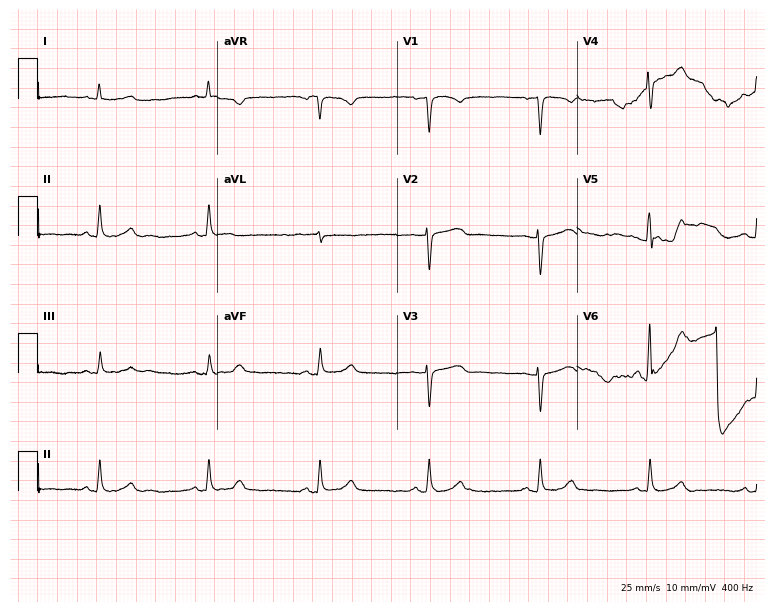
Standard 12-lead ECG recorded from a 62-year-old man. None of these six findings is recorded: first-degree AV block, right bundle branch block (RBBB), left bundle branch block (LBBB), sinus bradycardia, atrial fibrillation (AF), sinus tachycardia.